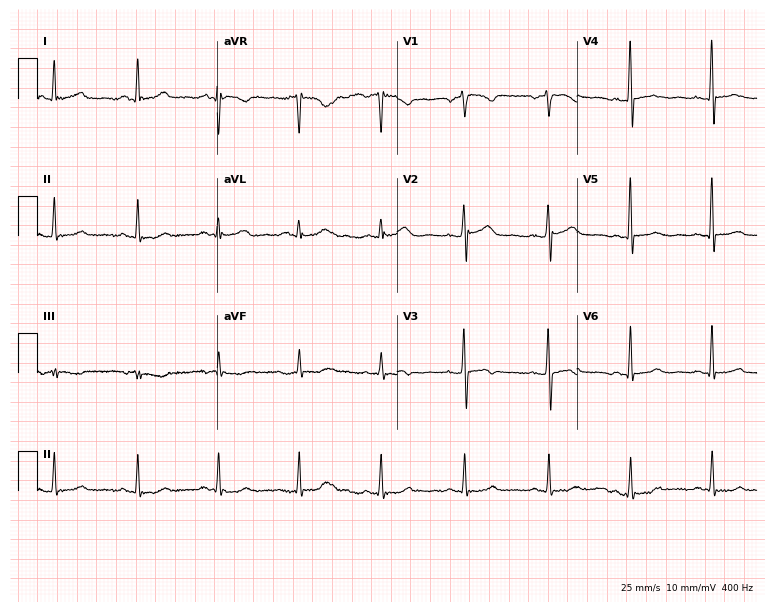
12-lead ECG (7.3-second recording at 400 Hz) from a man, 54 years old. Screened for six findings — first-degree AV block, right bundle branch block, left bundle branch block, sinus bradycardia, atrial fibrillation, sinus tachycardia — none is recorded.